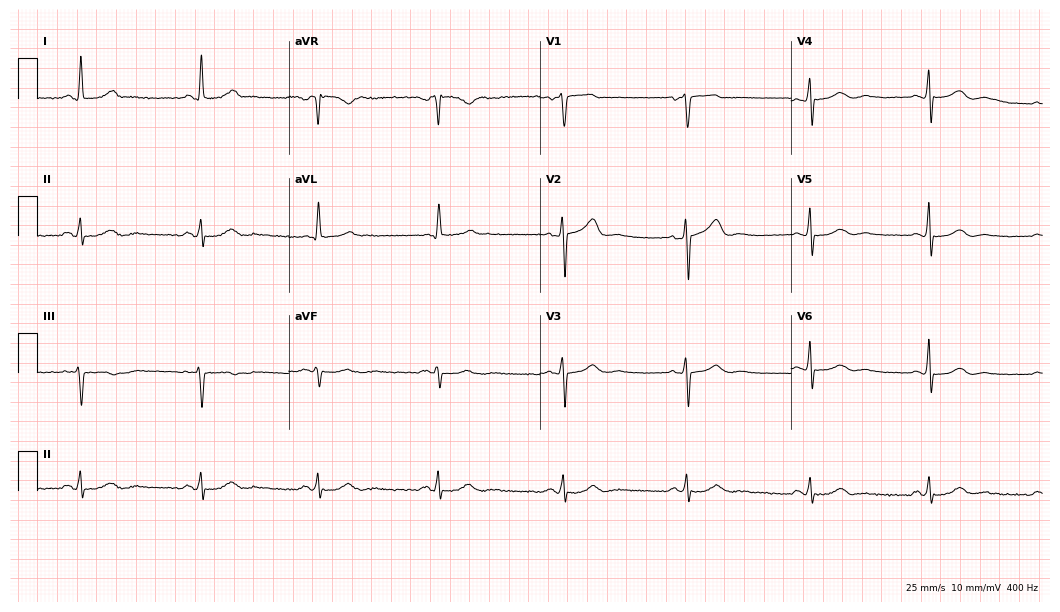
Resting 12-lead electrocardiogram. Patient: a 57-year-old female. None of these six findings is recorded: first-degree AV block, right bundle branch block (RBBB), left bundle branch block (LBBB), sinus bradycardia, atrial fibrillation (AF), sinus tachycardia.